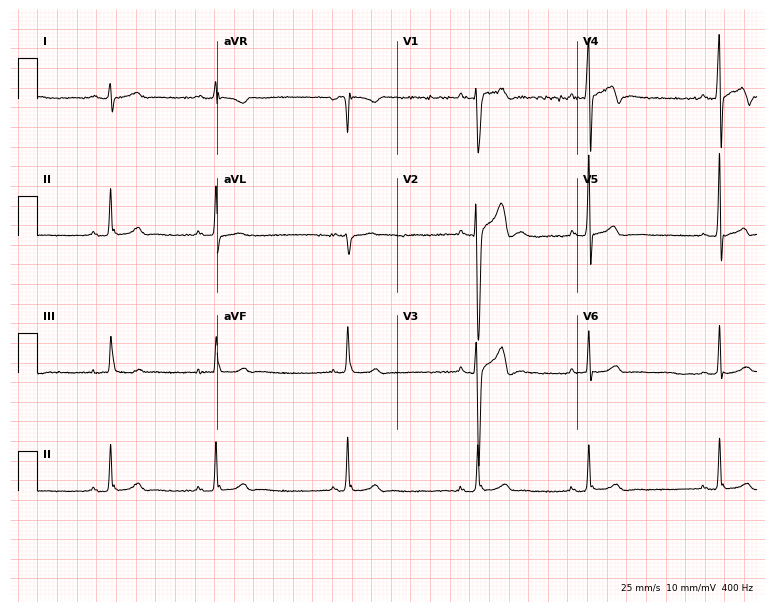
12-lead ECG from a man, 17 years old (7.3-second recording at 400 Hz). Shows sinus bradycardia (a sinus rate of 50 beats per minute or less).